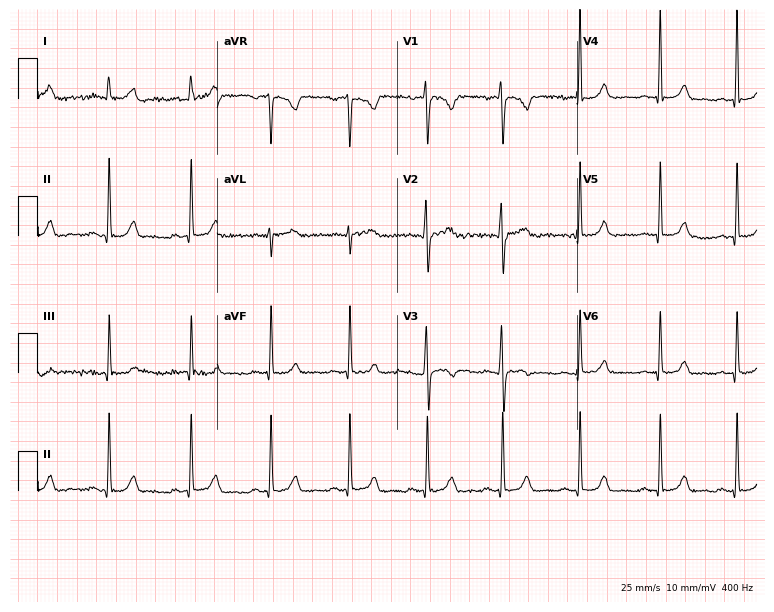
Electrocardiogram, a woman, 24 years old. Overall reading on record: normal ECG.